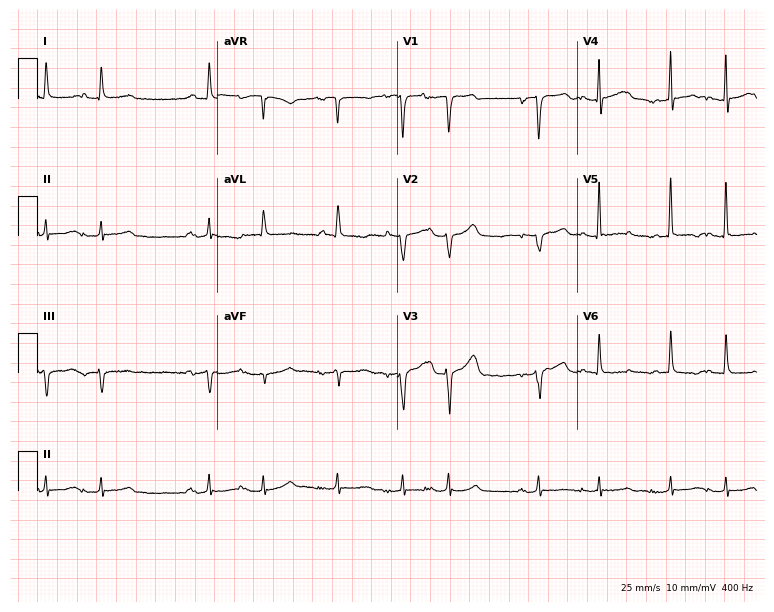
12-lead ECG from a male, 74 years old. No first-degree AV block, right bundle branch block (RBBB), left bundle branch block (LBBB), sinus bradycardia, atrial fibrillation (AF) or sinus tachycardia recorded for this tracing.